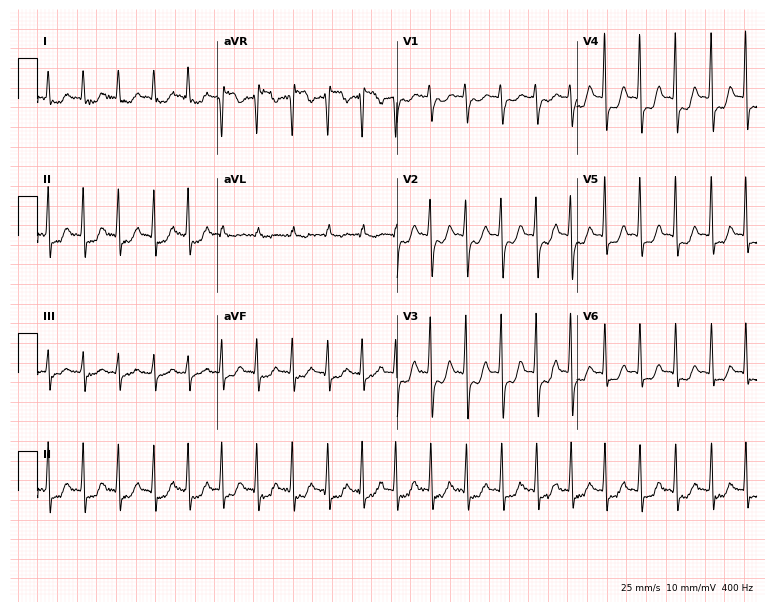
Electrocardiogram, a 69-year-old female patient. Of the six screened findings (first-degree AV block, right bundle branch block, left bundle branch block, sinus bradycardia, atrial fibrillation, sinus tachycardia), none is recorded. Other findings, if any, are not listed.